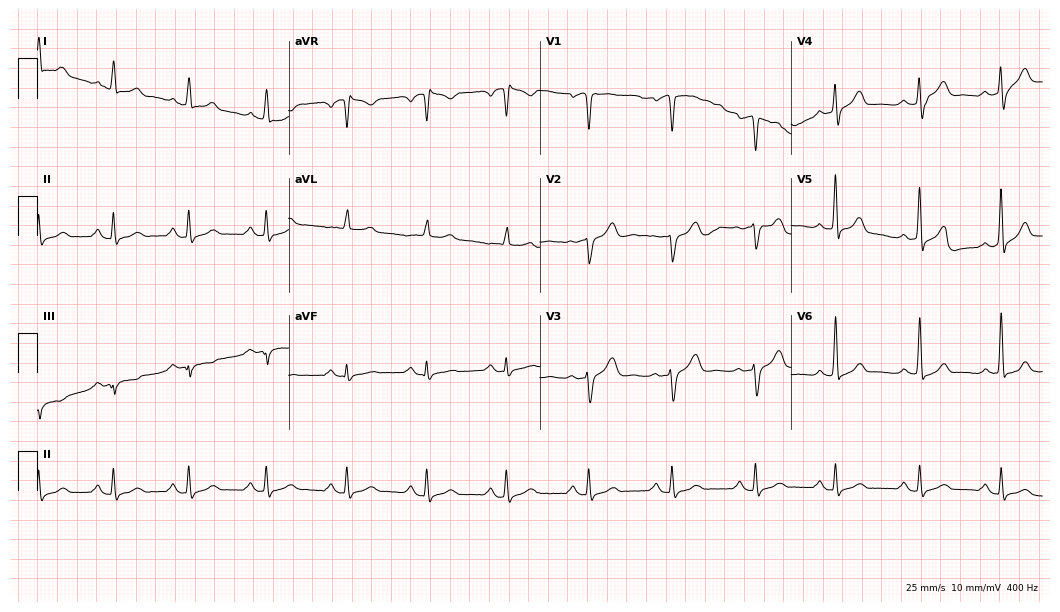
12-lead ECG (10.2-second recording at 400 Hz) from a 66-year-old male patient. Labelled as a normal ECG.